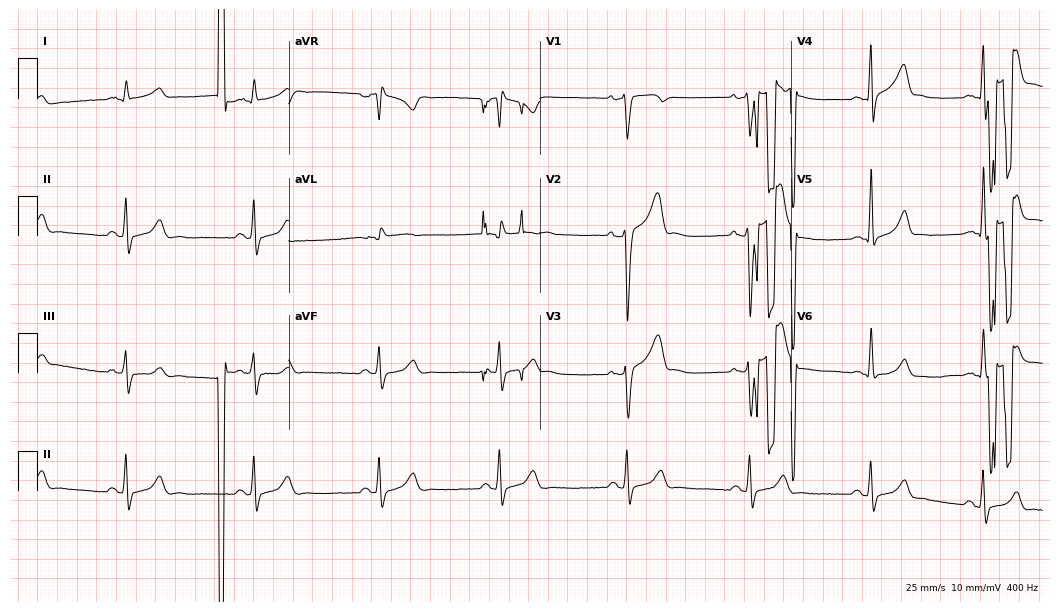
ECG — a man, 38 years old. Screened for six findings — first-degree AV block, right bundle branch block, left bundle branch block, sinus bradycardia, atrial fibrillation, sinus tachycardia — none is recorded. Other findings, if any, are not listed.